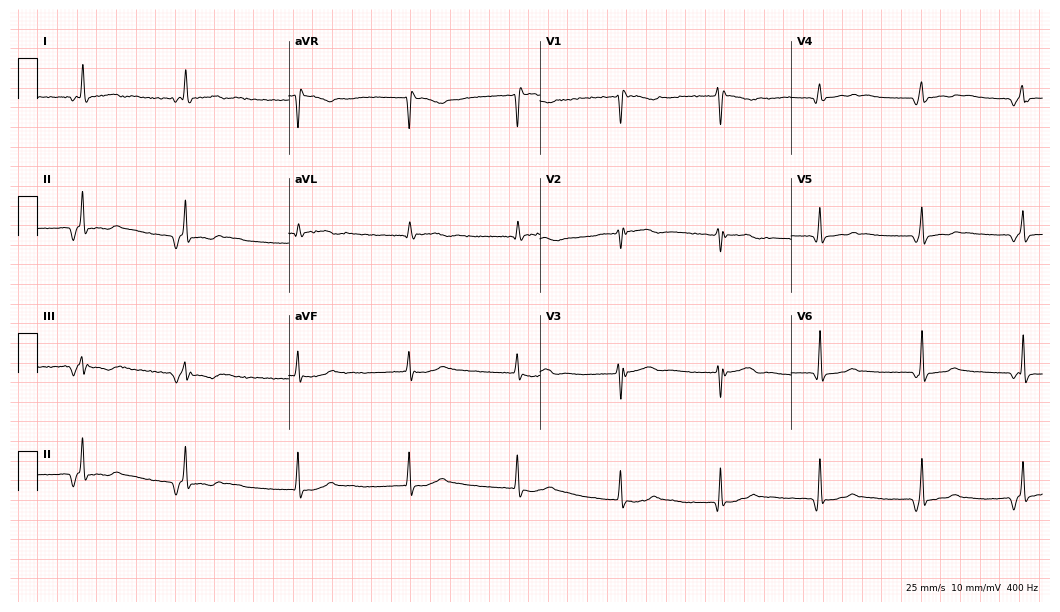
12-lead ECG from a female, 25 years old. Screened for six findings — first-degree AV block, right bundle branch block (RBBB), left bundle branch block (LBBB), sinus bradycardia, atrial fibrillation (AF), sinus tachycardia — none is recorded. Findings outside these six are not listed.